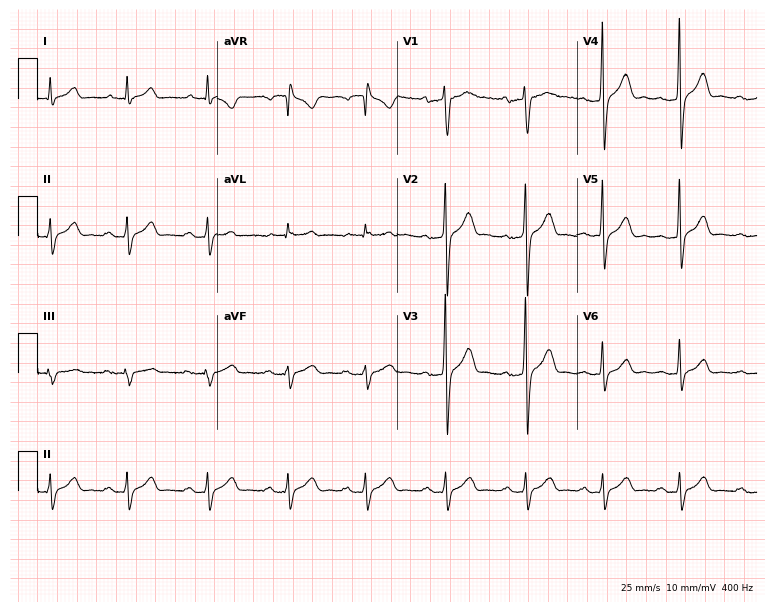
Electrocardiogram, a male, 38 years old. Overall reading on record: normal ECG.